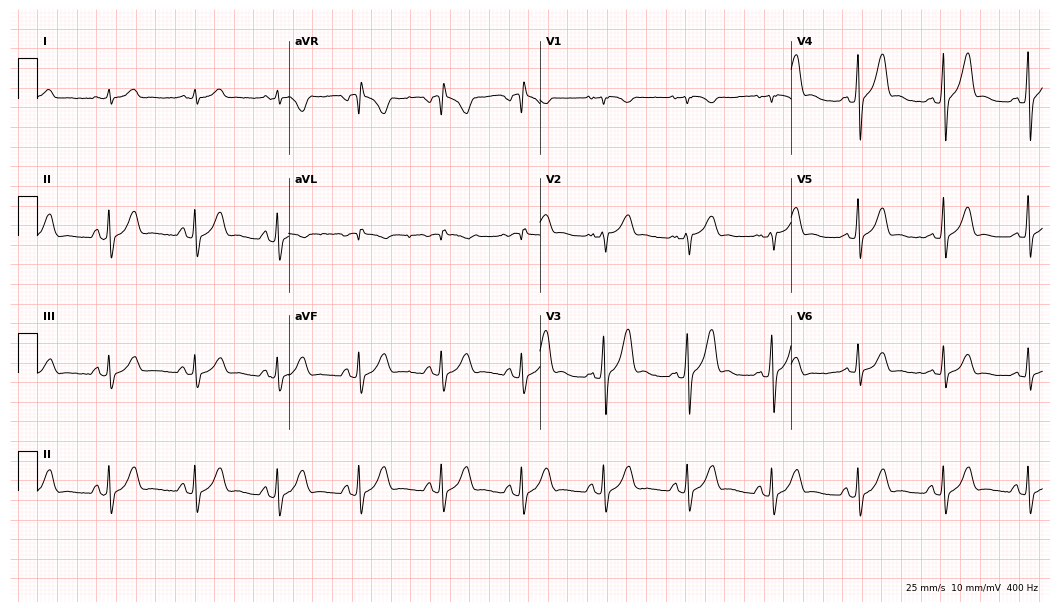
12-lead ECG from a male, 27 years old. No first-degree AV block, right bundle branch block, left bundle branch block, sinus bradycardia, atrial fibrillation or sinus tachycardia recorded for this tracing.